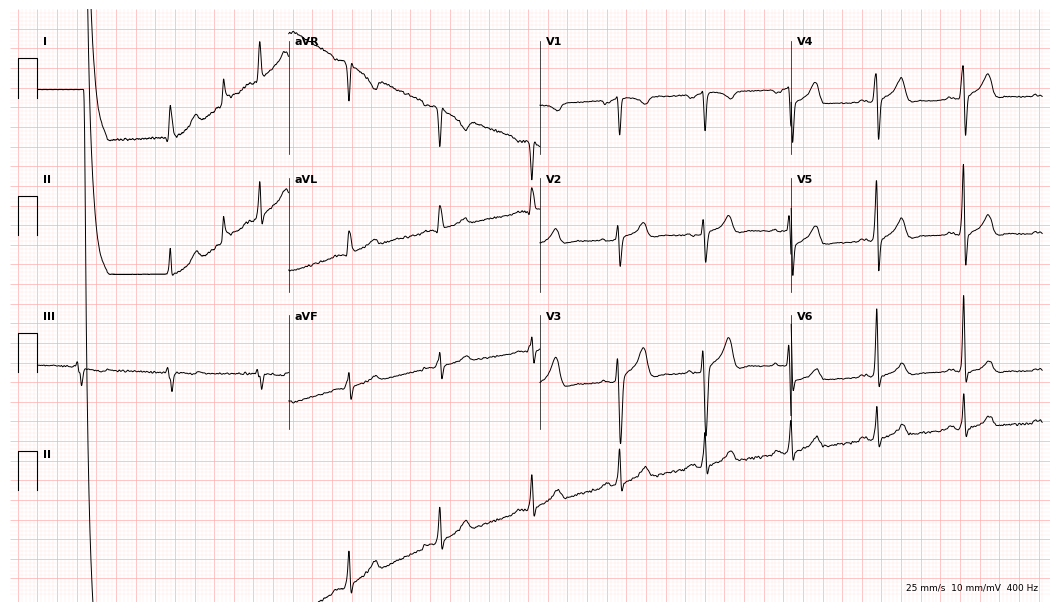
Resting 12-lead electrocardiogram. Patient: a man, 42 years old. Read as a normal ECG.